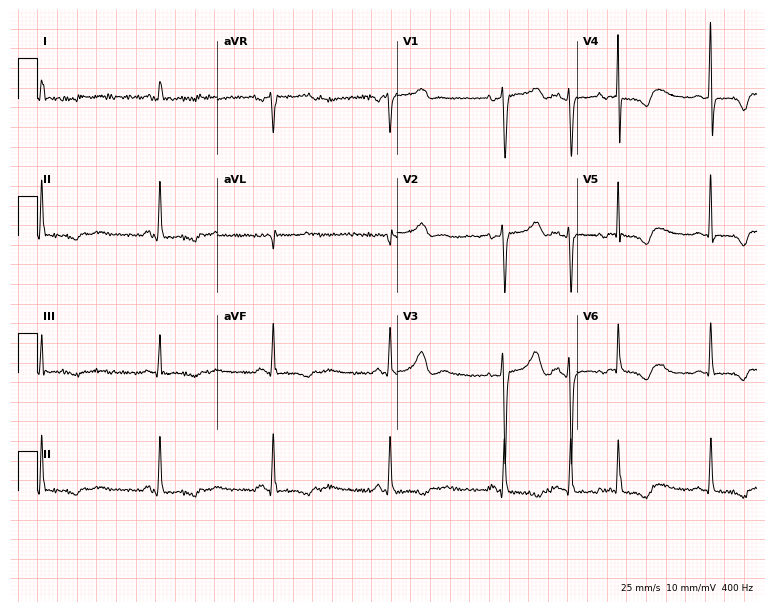
Electrocardiogram, a woman, 45 years old. Of the six screened findings (first-degree AV block, right bundle branch block, left bundle branch block, sinus bradycardia, atrial fibrillation, sinus tachycardia), none is recorded.